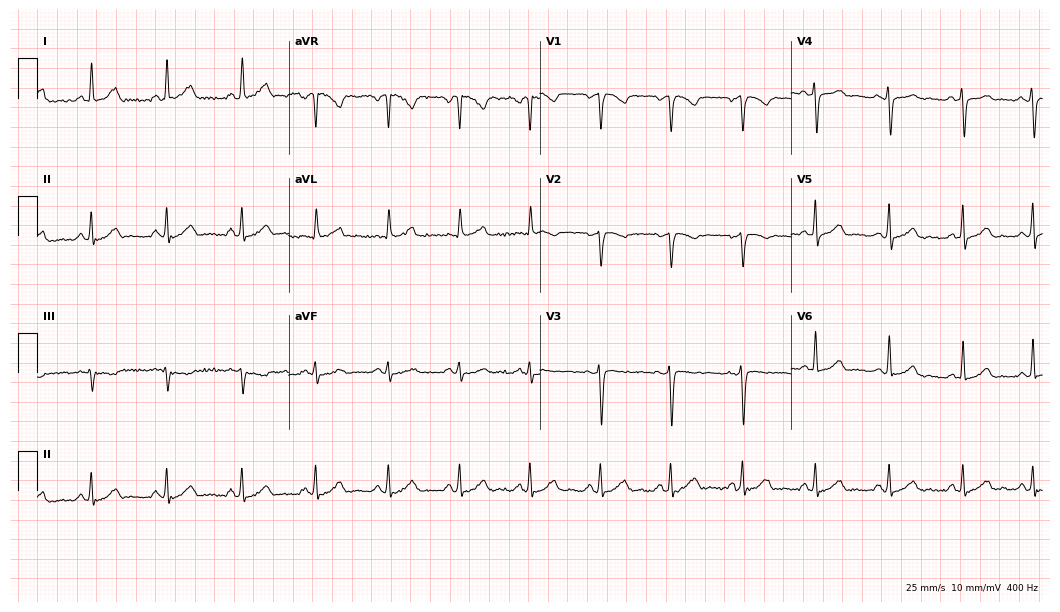
12-lead ECG from a woman, 46 years old (10.2-second recording at 400 Hz). No first-degree AV block, right bundle branch block, left bundle branch block, sinus bradycardia, atrial fibrillation or sinus tachycardia recorded for this tracing. Findings outside these six are not listed.